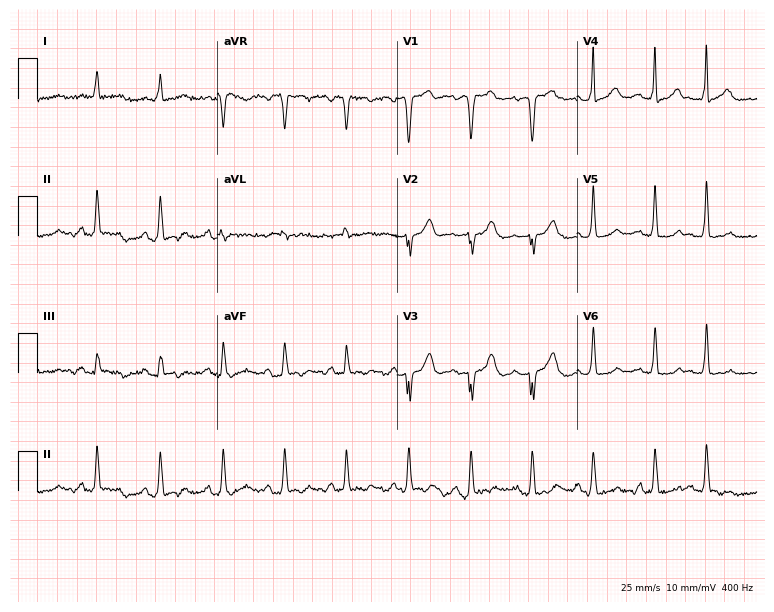
ECG (7.3-second recording at 400 Hz) — a female, 75 years old. Screened for six findings — first-degree AV block, right bundle branch block, left bundle branch block, sinus bradycardia, atrial fibrillation, sinus tachycardia — none is recorded.